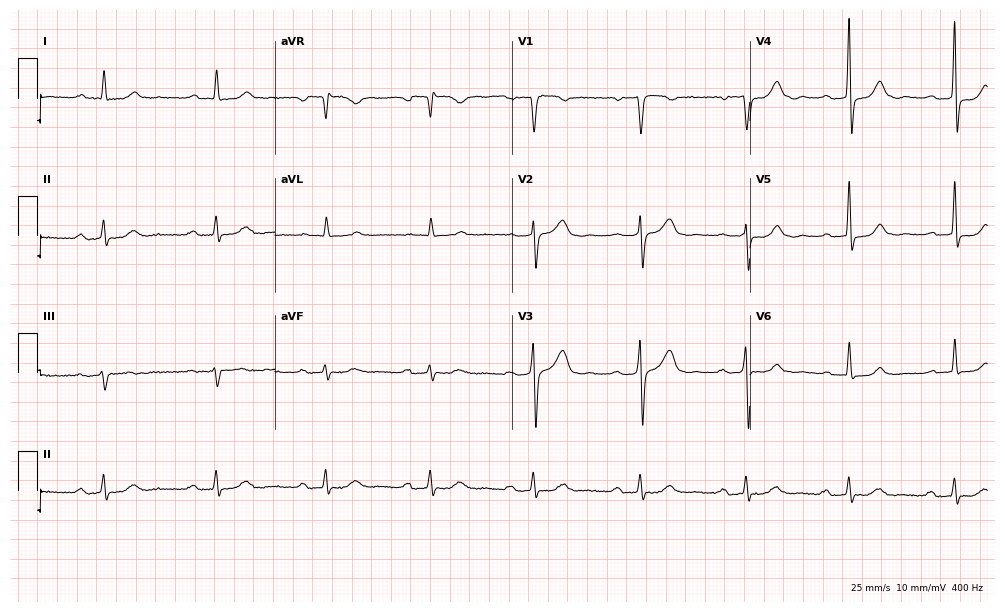
Standard 12-lead ECG recorded from a 61-year-old man (9.7-second recording at 400 Hz). The tracing shows first-degree AV block.